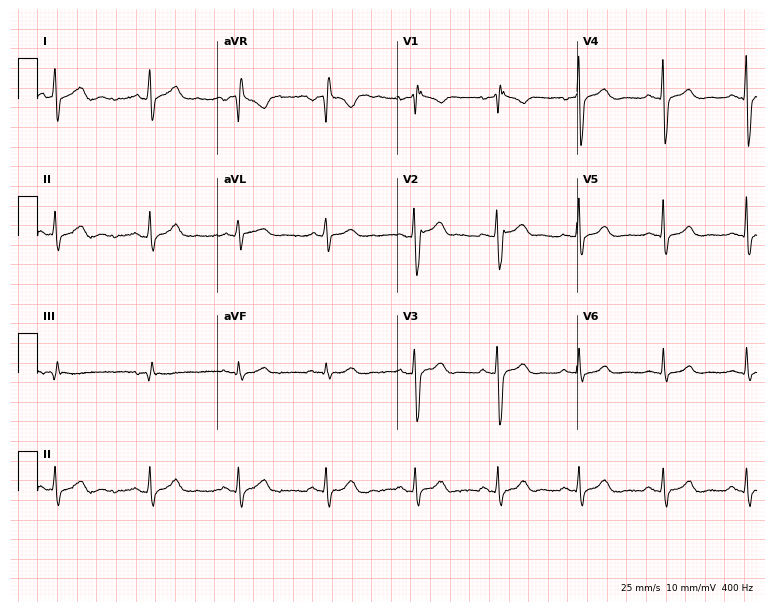
Resting 12-lead electrocardiogram. Patient: a 32-year-old male. None of these six findings is recorded: first-degree AV block, right bundle branch block (RBBB), left bundle branch block (LBBB), sinus bradycardia, atrial fibrillation (AF), sinus tachycardia.